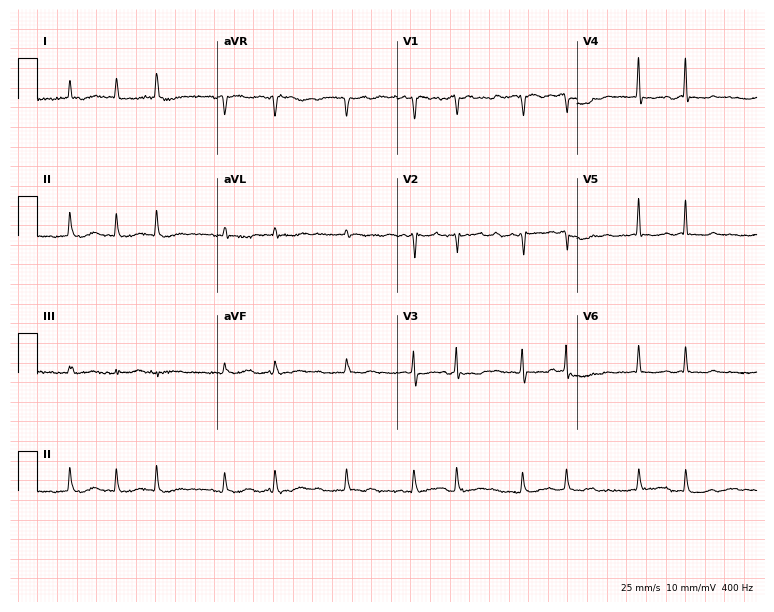
12-lead ECG from a woman, 78 years old. Findings include atrial fibrillation (AF).